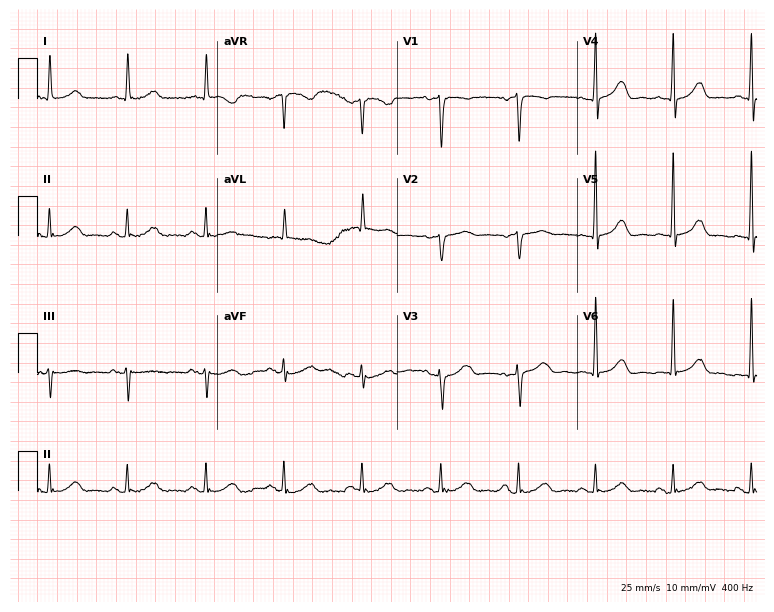
12-lead ECG from a woman, 72 years old. Screened for six findings — first-degree AV block, right bundle branch block, left bundle branch block, sinus bradycardia, atrial fibrillation, sinus tachycardia — none is recorded.